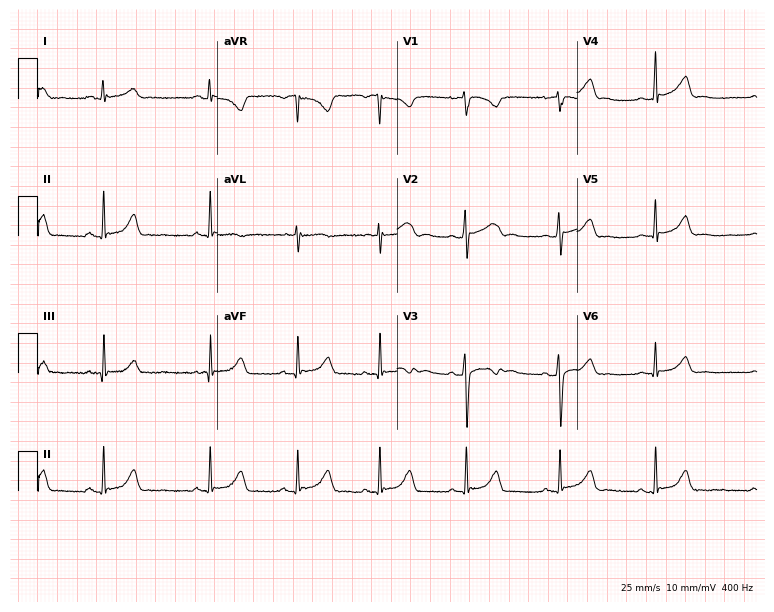
Electrocardiogram, a 21-year-old female patient. Of the six screened findings (first-degree AV block, right bundle branch block, left bundle branch block, sinus bradycardia, atrial fibrillation, sinus tachycardia), none is recorded.